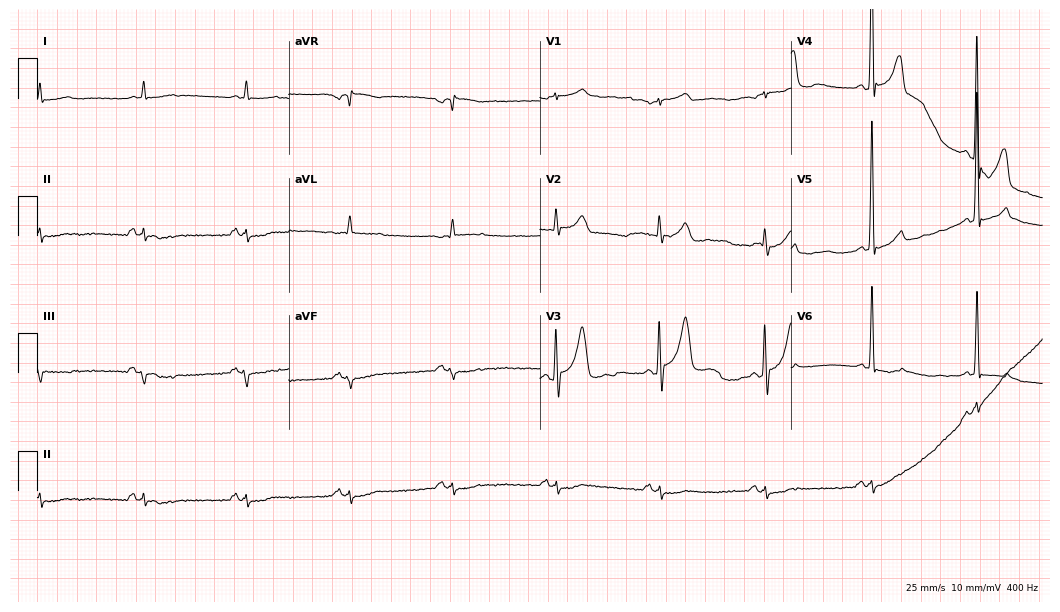
Electrocardiogram, a 78-year-old male patient. Of the six screened findings (first-degree AV block, right bundle branch block, left bundle branch block, sinus bradycardia, atrial fibrillation, sinus tachycardia), none is recorded.